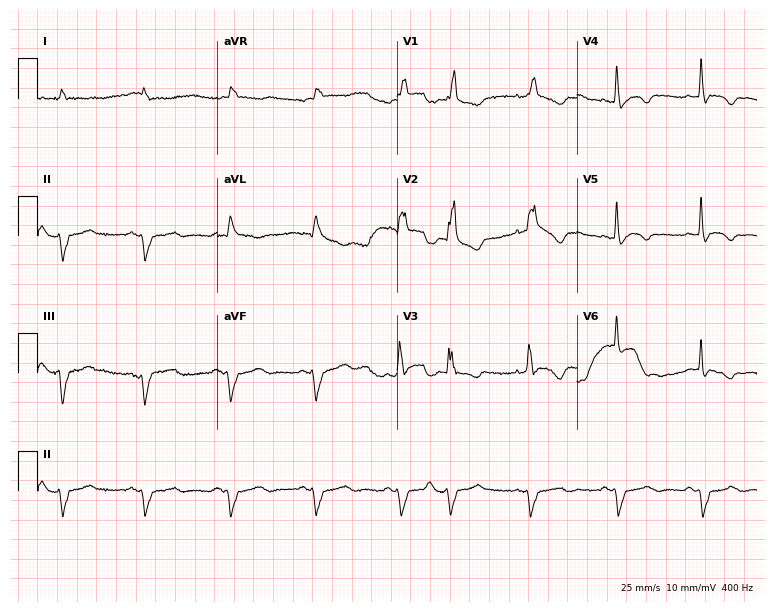
Electrocardiogram (7.3-second recording at 400 Hz), an 81-year-old man. Interpretation includes right bundle branch block (RBBB).